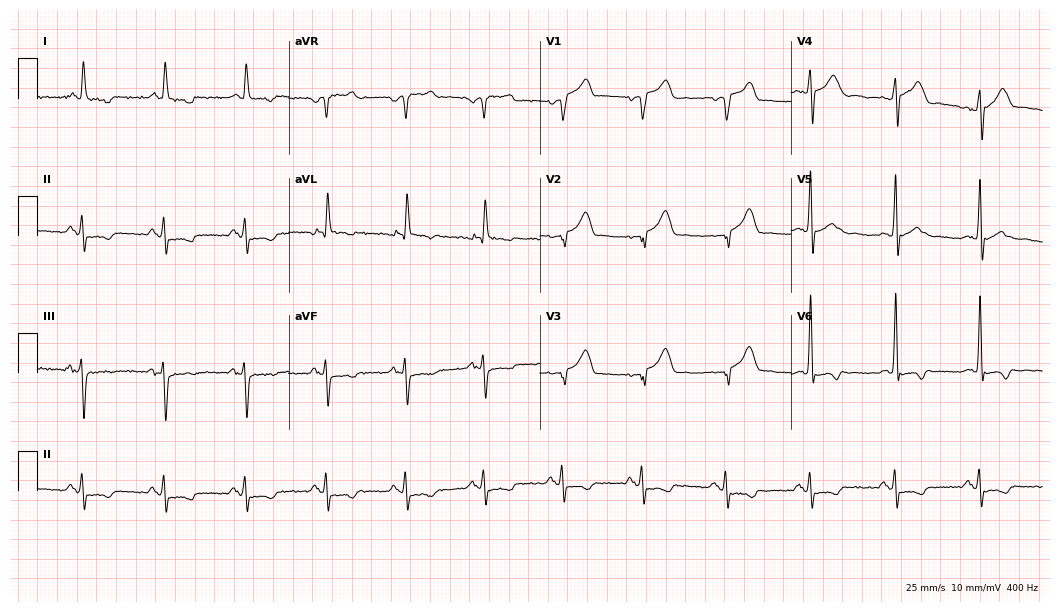
ECG (10.2-second recording at 400 Hz) — a male patient, 74 years old. Screened for six findings — first-degree AV block, right bundle branch block, left bundle branch block, sinus bradycardia, atrial fibrillation, sinus tachycardia — none is recorded.